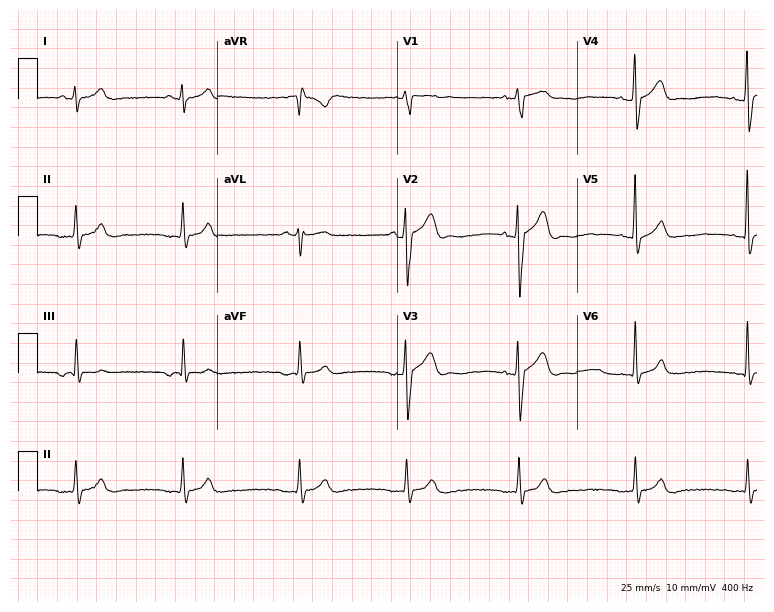
Resting 12-lead electrocardiogram. Patient: a 29-year-old male. Read as a normal ECG.